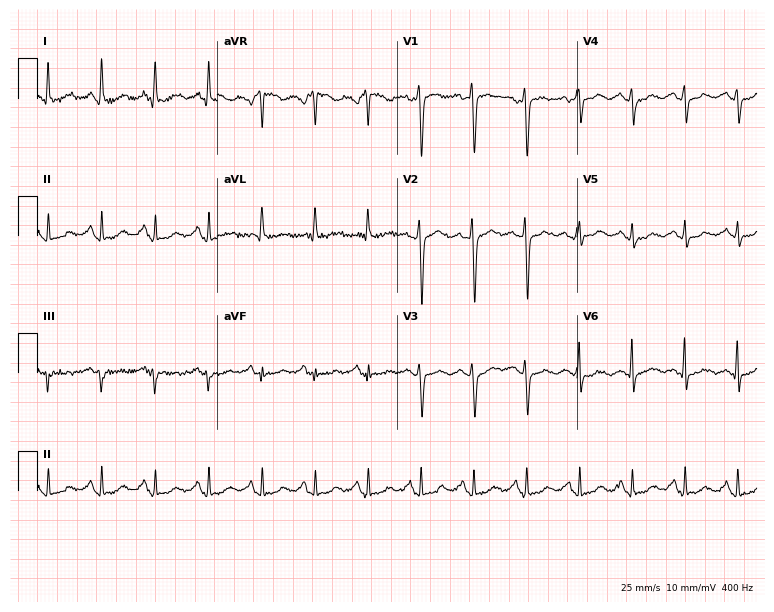
Electrocardiogram, a woman, 45 years old. Interpretation includes sinus tachycardia (a sinus rate of 100 beats per minute or more).